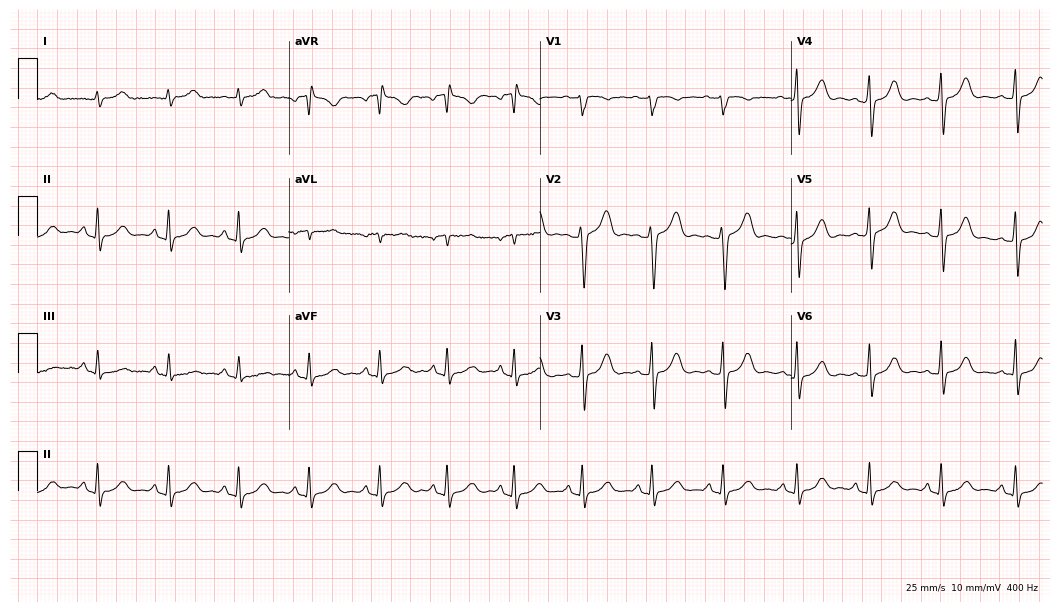
Resting 12-lead electrocardiogram. Patient: a 45-year-old female. Read as a normal ECG.